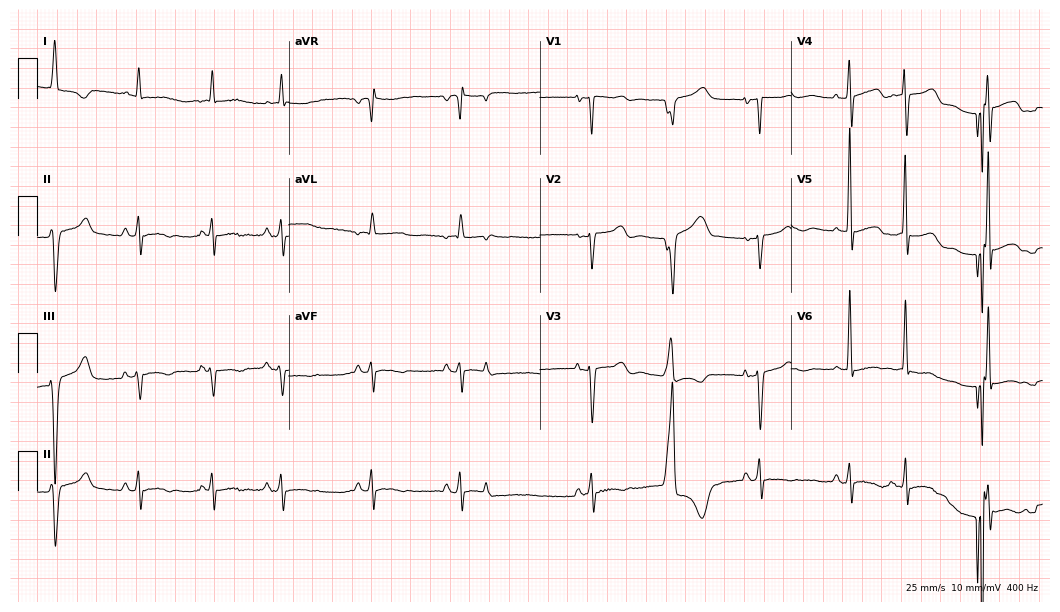
12-lead ECG from an 85-year-old woman. No first-degree AV block, right bundle branch block, left bundle branch block, sinus bradycardia, atrial fibrillation or sinus tachycardia recorded for this tracing. Other findings, if any, are not listed.